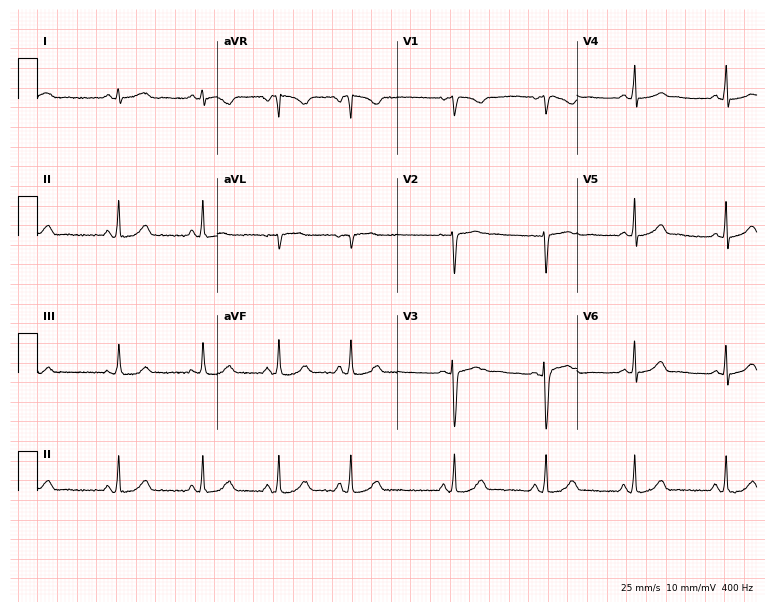
Resting 12-lead electrocardiogram. Patient: a 23-year-old female. Read as a normal ECG.